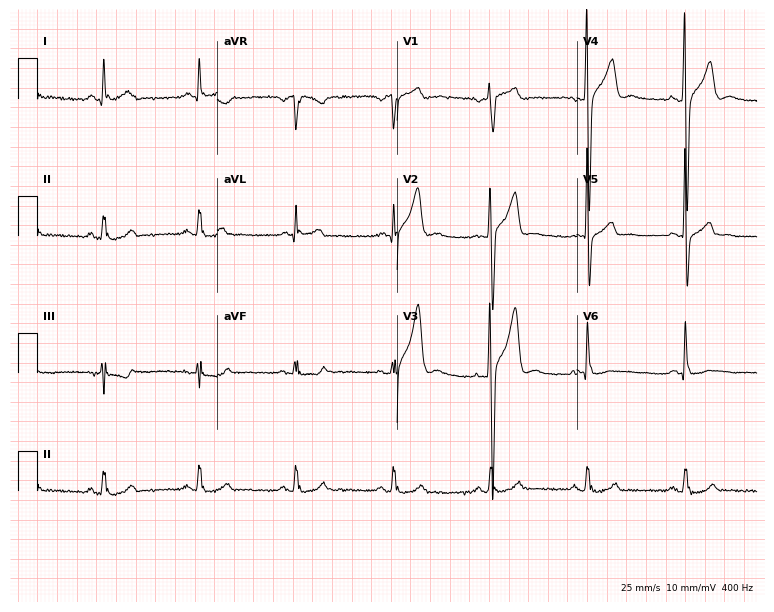
Standard 12-lead ECG recorded from a male patient, 38 years old. Read as a normal ECG.